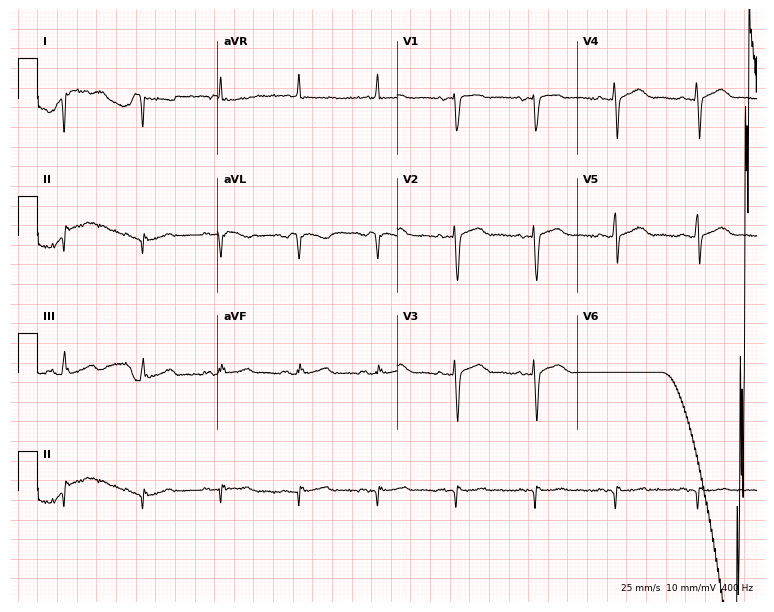
Electrocardiogram, a female patient, 22 years old. Of the six screened findings (first-degree AV block, right bundle branch block, left bundle branch block, sinus bradycardia, atrial fibrillation, sinus tachycardia), none is recorded. Findings outside these six are not listed.